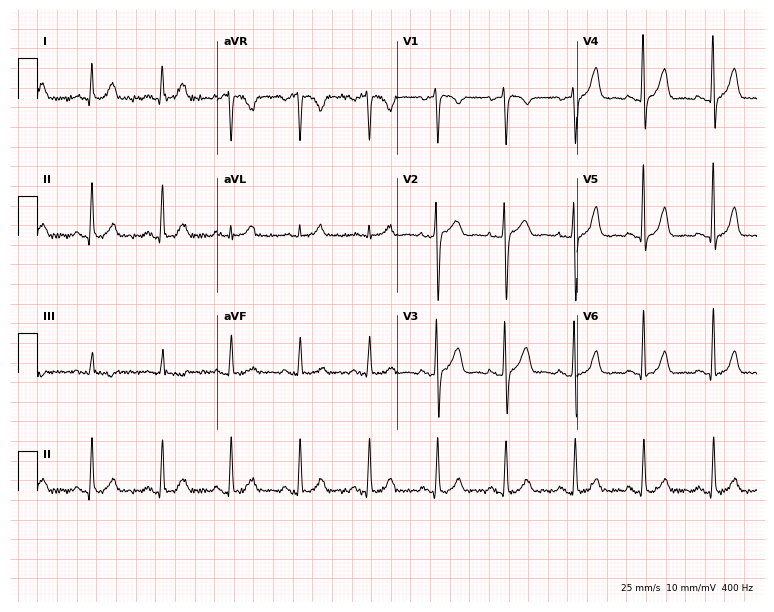
Resting 12-lead electrocardiogram. Patient: a female, 44 years old. Read as a normal ECG.